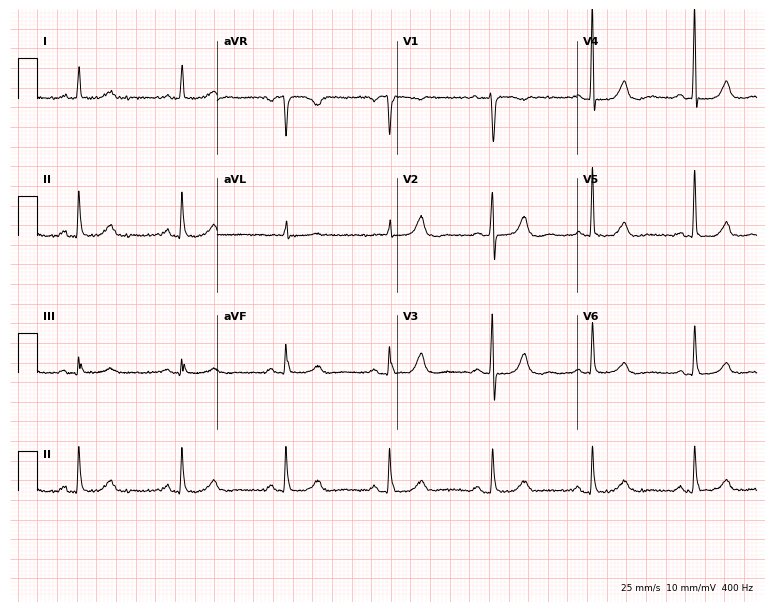
12-lead ECG (7.3-second recording at 400 Hz) from a female patient, 74 years old. Labelled as a normal ECG.